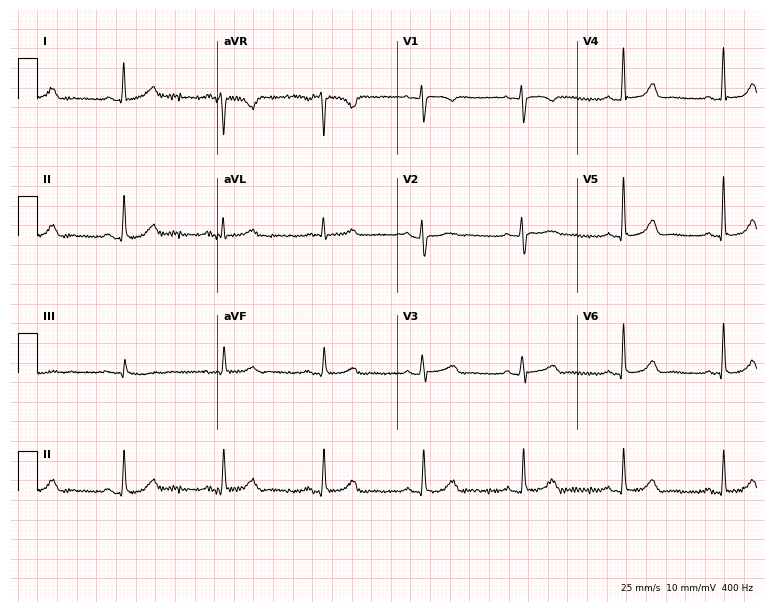
12-lead ECG from a female patient, 49 years old. Recorded interpretation: within normal limits.